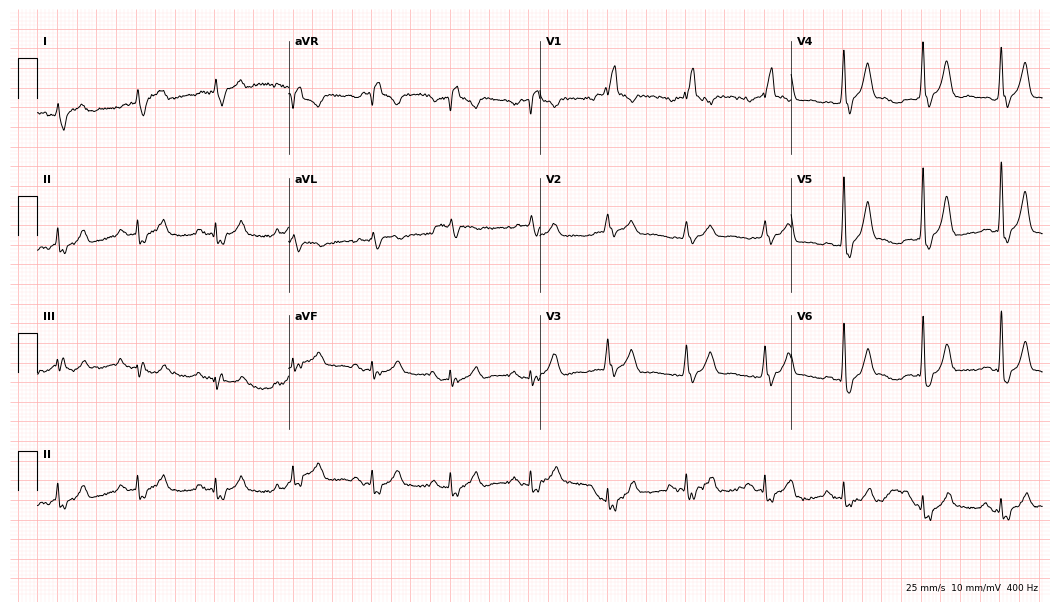
ECG (10.2-second recording at 400 Hz) — a 67-year-old man. Screened for six findings — first-degree AV block, right bundle branch block, left bundle branch block, sinus bradycardia, atrial fibrillation, sinus tachycardia — none is recorded. Only these six findings were labelled.